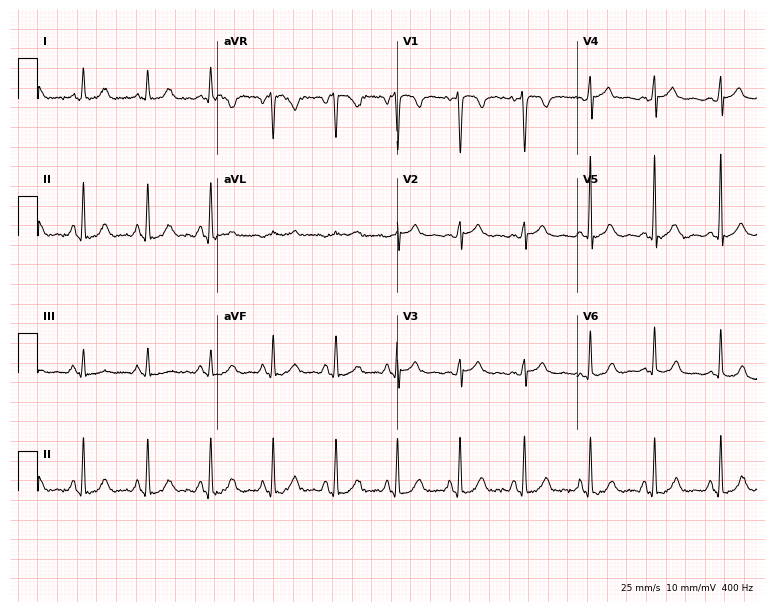
Standard 12-lead ECG recorded from a female patient, 48 years old (7.3-second recording at 400 Hz). Read as a normal ECG.